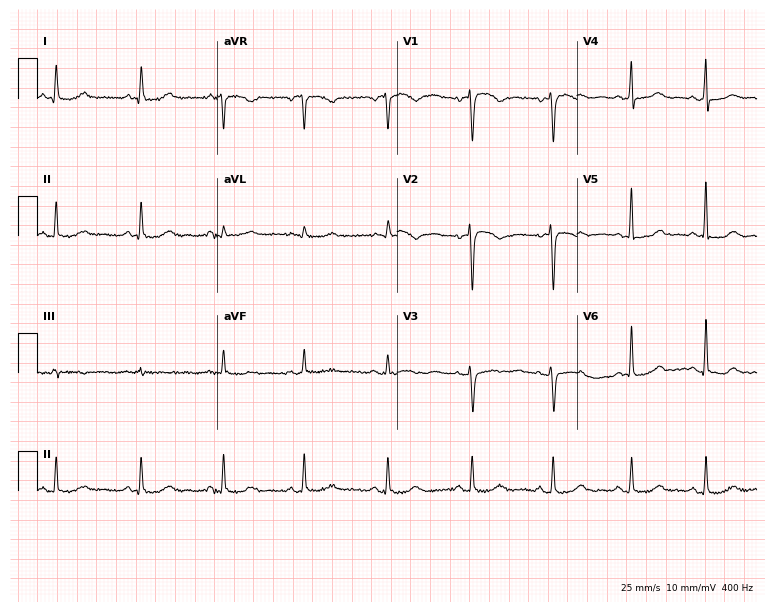
Electrocardiogram (7.3-second recording at 400 Hz), a 58-year-old female patient. Of the six screened findings (first-degree AV block, right bundle branch block, left bundle branch block, sinus bradycardia, atrial fibrillation, sinus tachycardia), none is recorded. Other findings, if any, are not listed.